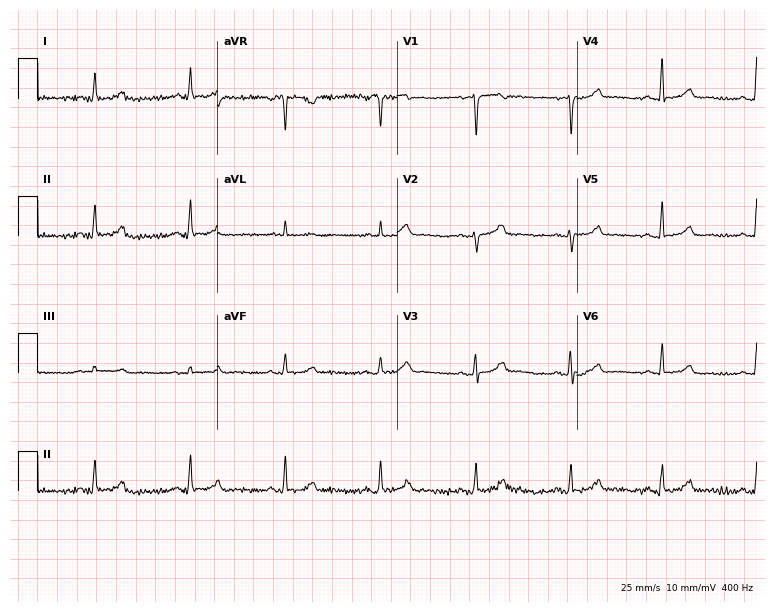
Electrocardiogram, a 65-year-old female patient. Overall reading on record: normal ECG.